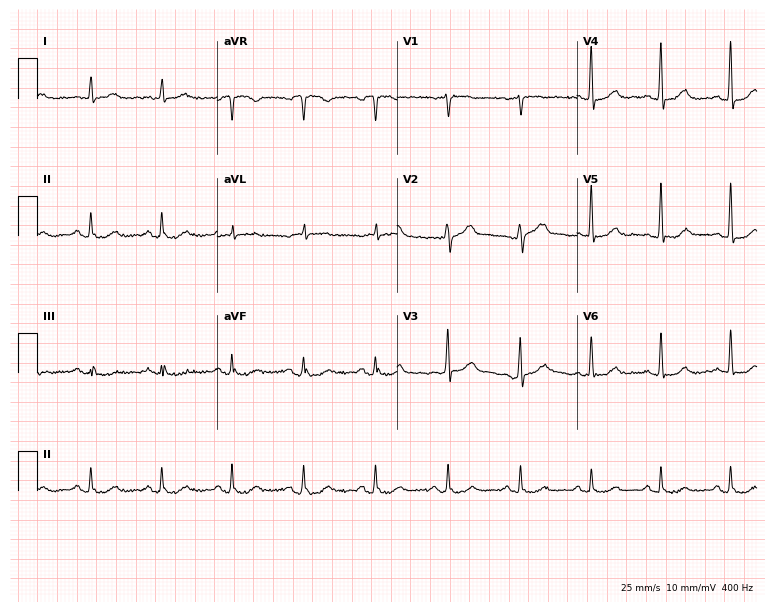
12-lead ECG from a man, 67 years old. No first-degree AV block, right bundle branch block, left bundle branch block, sinus bradycardia, atrial fibrillation or sinus tachycardia recorded for this tracing. Findings outside these six are not listed.